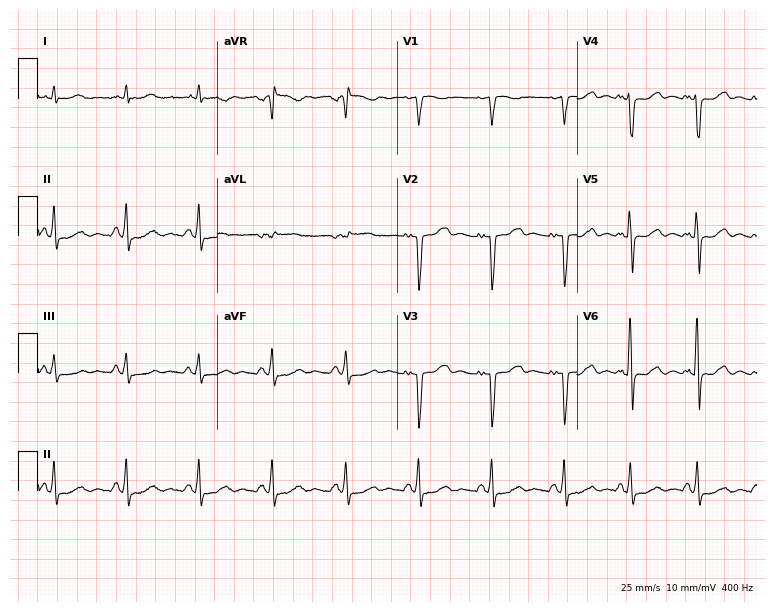
12-lead ECG (7.3-second recording at 400 Hz) from a 54-year-old man. Screened for six findings — first-degree AV block, right bundle branch block, left bundle branch block, sinus bradycardia, atrial fibrillation, sinus tachycardia — none is recorded. Only these six findings were labelled.